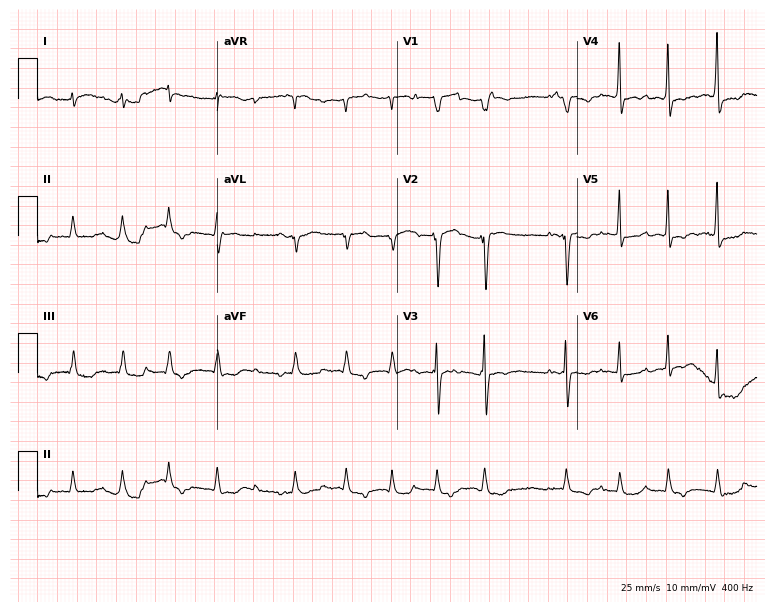
12-lead ECG (7.3-second recording at 400 Hz) from a man, 79 years old. Findings include atrial fibrillation (AF).